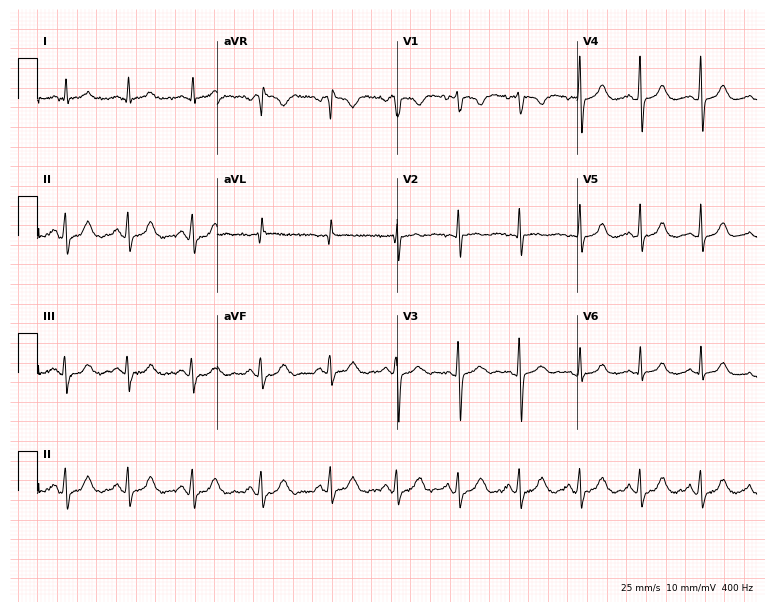
ECG (7.3-second recording at 400 Hz) — a 29-year-old male. Screened for six findings — first-degree AV block, right bundle branch block, left bundle branch block, sinus bradycardia, atrial fibrillation, sinus tachycardia — none is recorded.